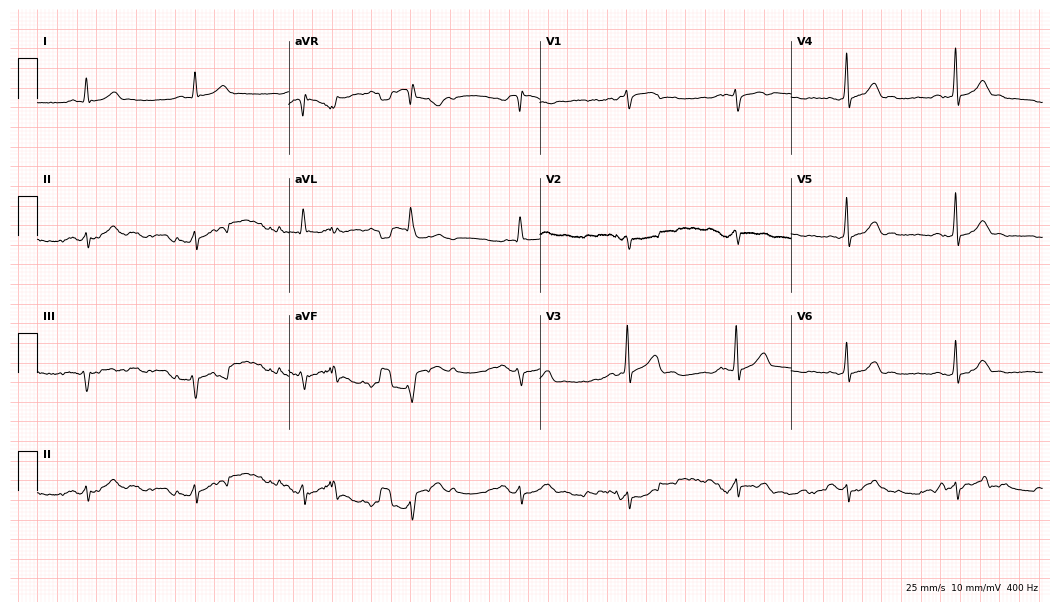
Standard 12-lead ECG recorded from a 70-year-old male patient (10.2-second recording at 400 Hz). None of these six findings is recorded: first-degree AV block, right bundle branch block (RBBB), left bundle branch block (LBBB), sinus bradycardia, atrial fibrillation (AF), sinus tachycardia. Other findings, if any, are not listed.